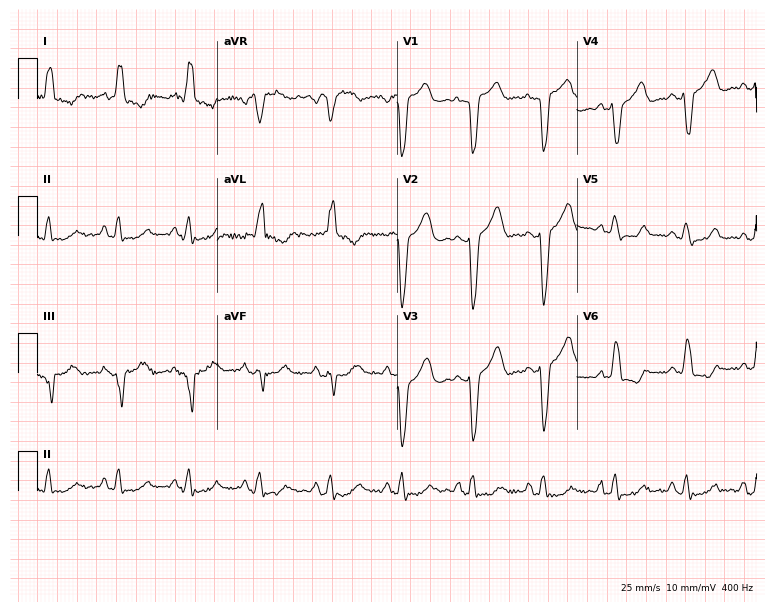
Electrocardiogram (7.3-second recording at 400 Hz), a 62-year-old woman. Interpretation includes left bundle branch block (LBBB).